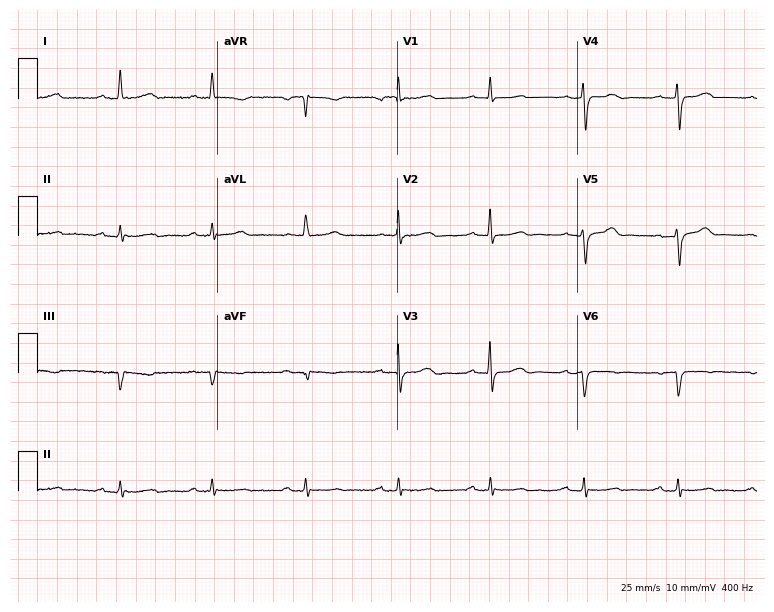
Standard 12-lead ECG recorded from a male, 72 years old. None of these six findings is recorded: first-degree AV block, right bundle branch block (RBBB), left bundle branch block (LBBB), sinus bradycardia, atrial fibrillation (AF), sinus tachycardia. Findings outside these six are not listed.